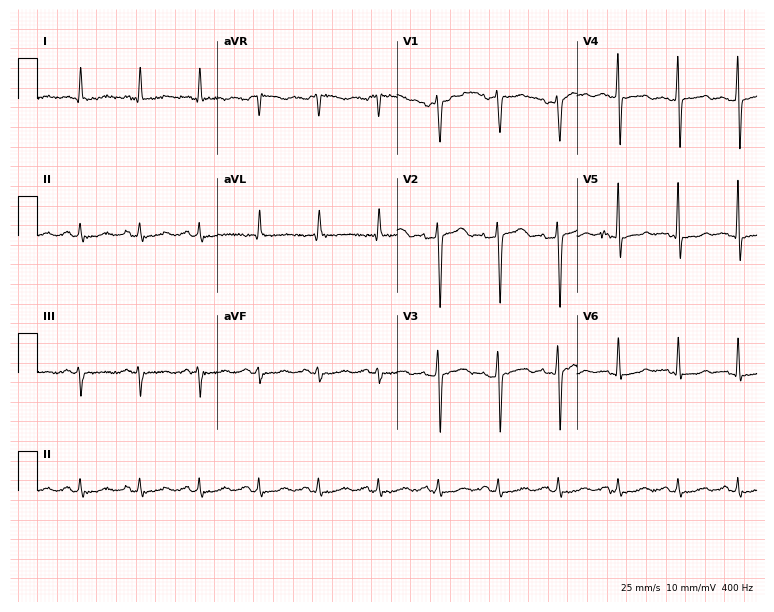
ECG — a 37-year-old male. Screened for six findings — first-degree AV block, right bundle branch block, left bundle branch block, sinus bradycardia, atrial fibrillation, sinus tachycardia — none is recorded. Findings outside these six are not listed.